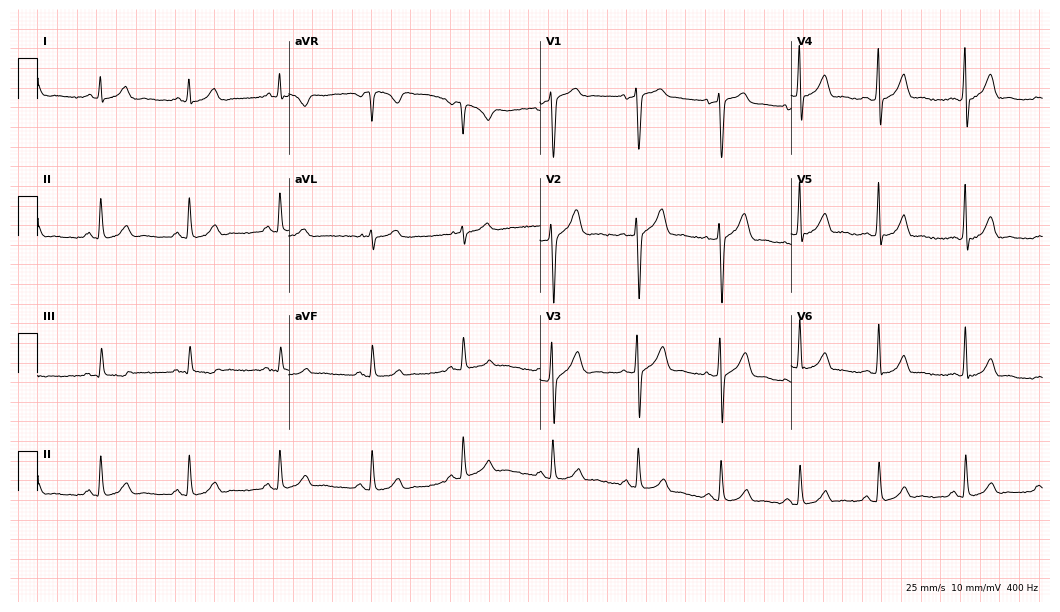
12-lead ECG (10.2-second recording at 400 Hz) from a 38-year-old male patient. Screened for six findings — first-degree AV block, right bundle branch block, left bundle branch block, sinus bradycardia, atrial fibrillation, sinus tachycardia — none is recorded. Only these six findings were labelled.